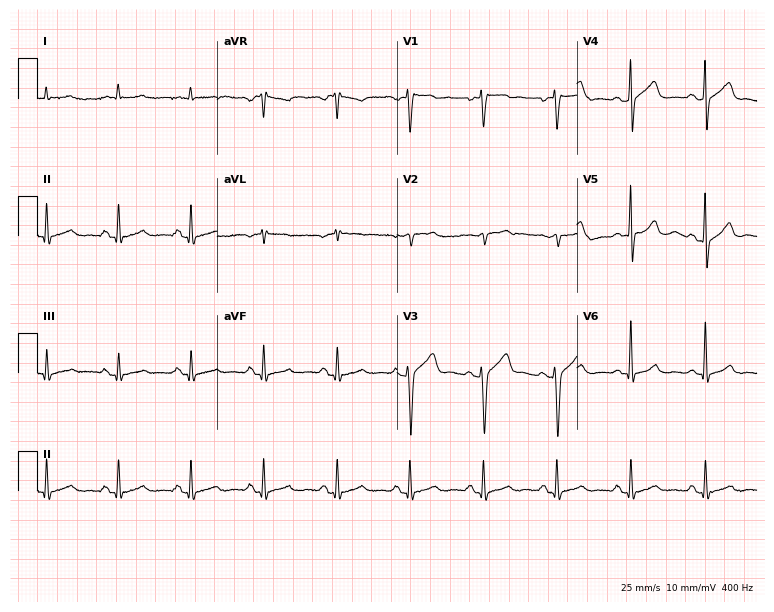
Standard 12-lead ECG recorded from a 53-year-old male patient (7.3-second recording at 400 Hz). None of these six findings is recorded: first-degree AV block, right bundle branch block (RBBB), left bundle branch block (LBBB), sinus bradycardia, atrial fibrillation (AF), sinus tachycardia.